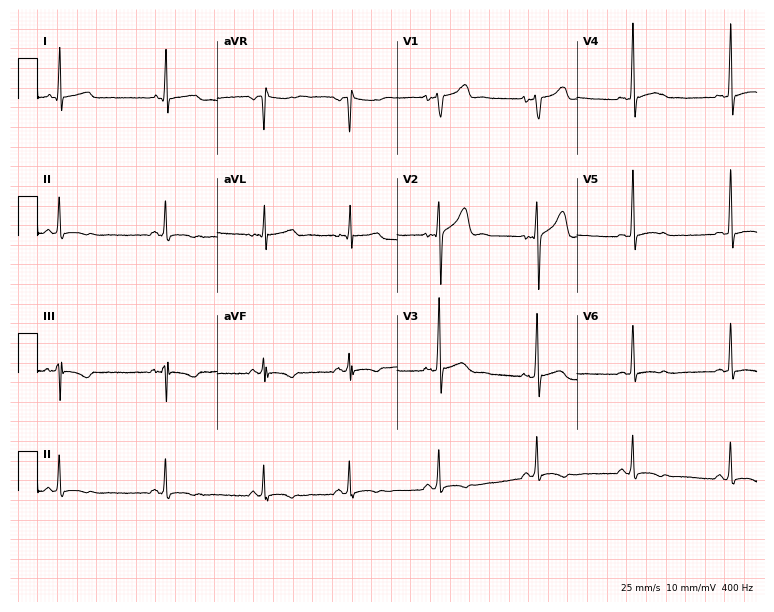
Electrocardiogram (7.3-second recording at 400 Hz), a male, 24 years old. Of the six screened findings (first-degree AV block, right bundle branch block, left bundle branch block, sinus bradycardia, atrial fibrillation, sinus tachycardia), none is recorded. Findings outside these six are not listed.